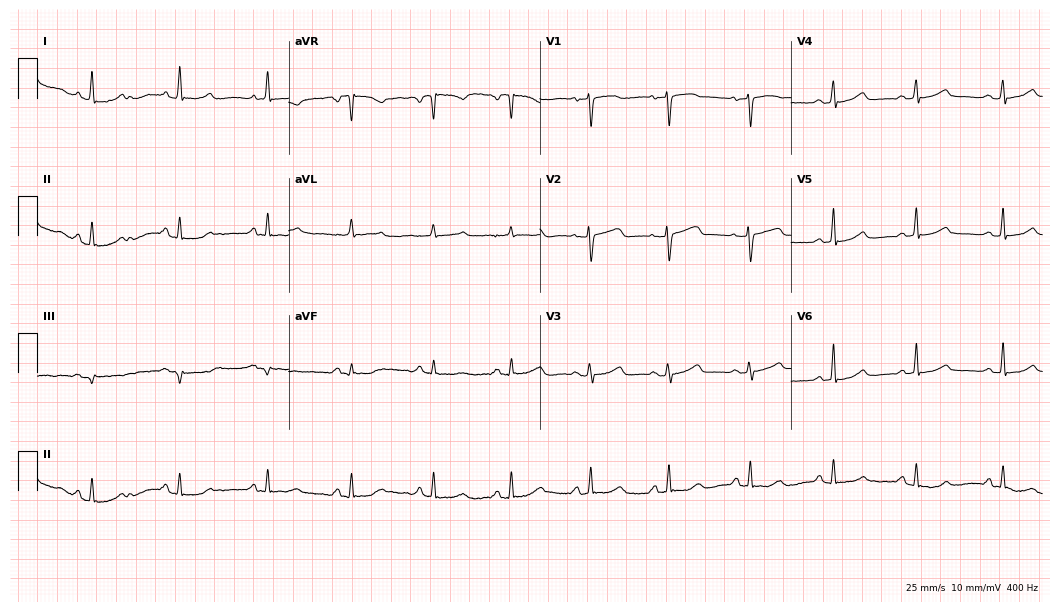
12-lead ECG from an 80-year-old female. Screened for six findings — first-degree AV block, right bundle branch block, left bundle branch block, sinus bradycardia, atrial fibrillation, sinus tachycardia — none is recorded.